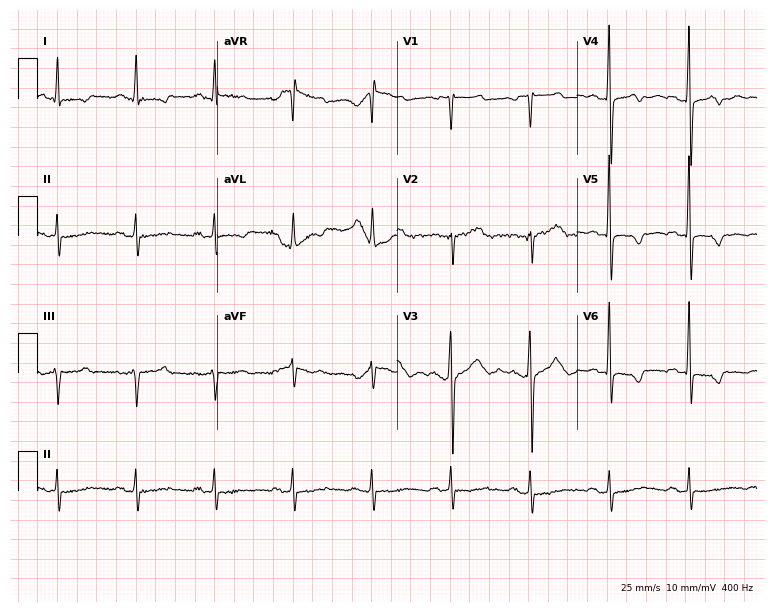
Electrocardiogram (7.3-second recording at 400 Hz), a 61-year-old male patient. Of the six screened findings (first-degree AV block, right bundle branch block (RBBB), left bundle branch block (LBBB), sinus bradycardia, atrial fibrillation (AF), sinus tachycardia), none is recorded.